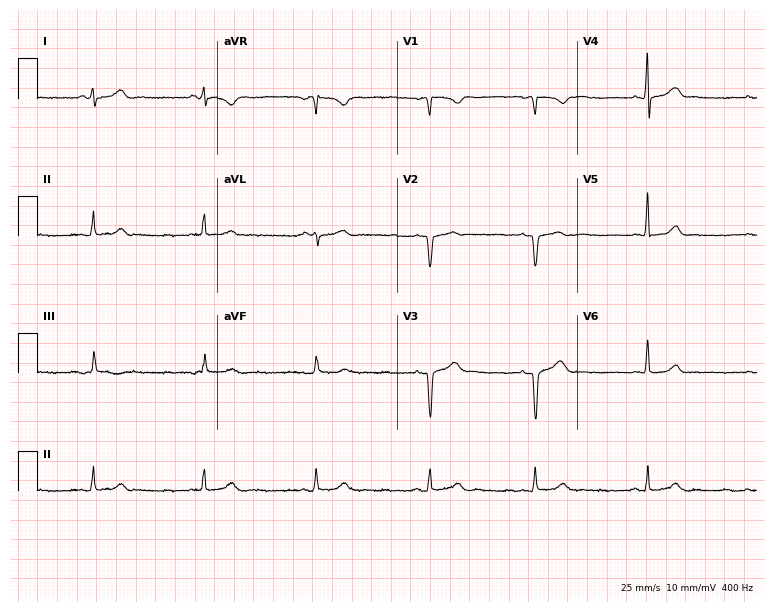
12-lead ECG (7.3-second recording at 400 Hz) from a 25-year-old female patient. Screened for six findings — first-degree AV block, right bundle branch block, left bundle branch block, sinus bradycardia, atrial fibrillation, sinus tachycardia — none is recorded.